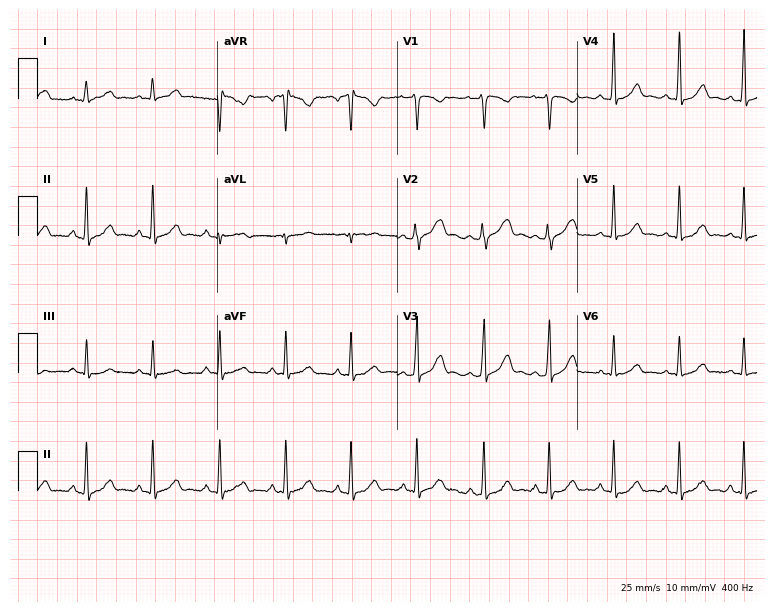
Resting 12-lead electrocardiogram (7.3-second recording at 400 Hz). Patient: a female, 30 years old. None of these six findings is recorded: first-degree AV block, right bundle branch block, left bundle branch block, sinus bradycardia, atrial fibrillation, sinus tachycardia. Other findings, if any, are not listed.